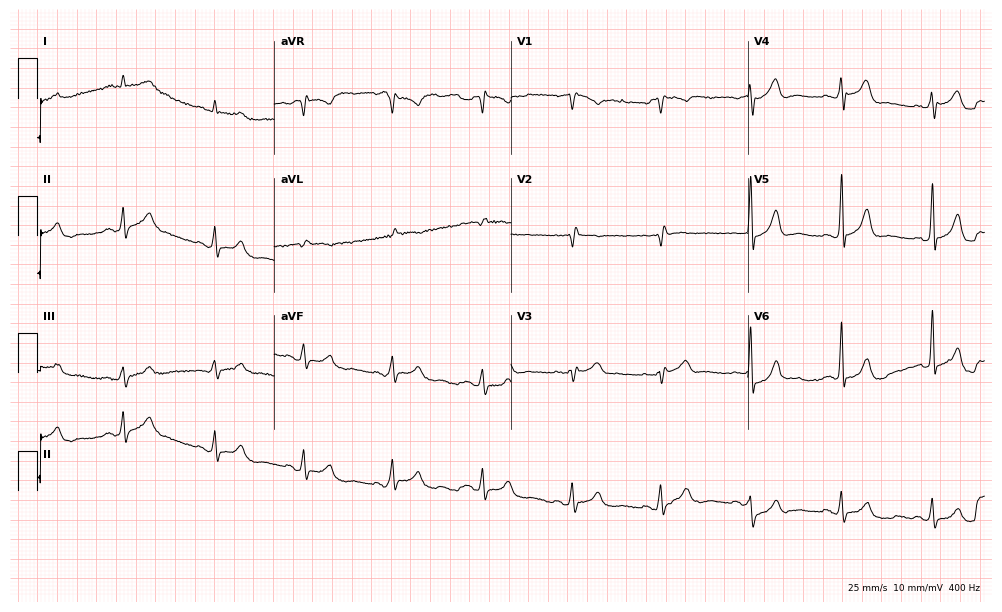
ECG (9.7-second recording at 400 Hz) — a 57-year-old male patient. Screened for six findings — first-degree AV block, right bundle branch block, left bundle branch block, sinus bradycardia, atrial fibrillation, sinus tachycardia — none is recorded.